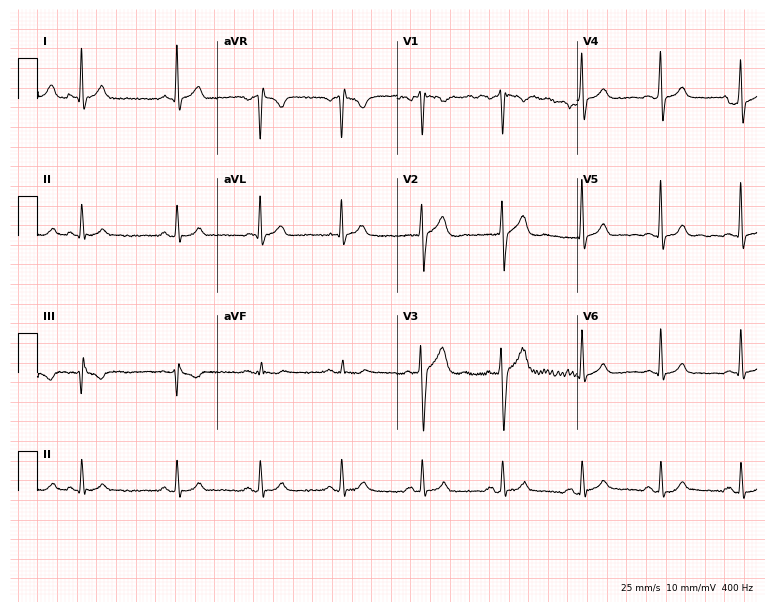
12-lead ECG from a male patient, 44 years old. Recorded interpretation: within normal limits.